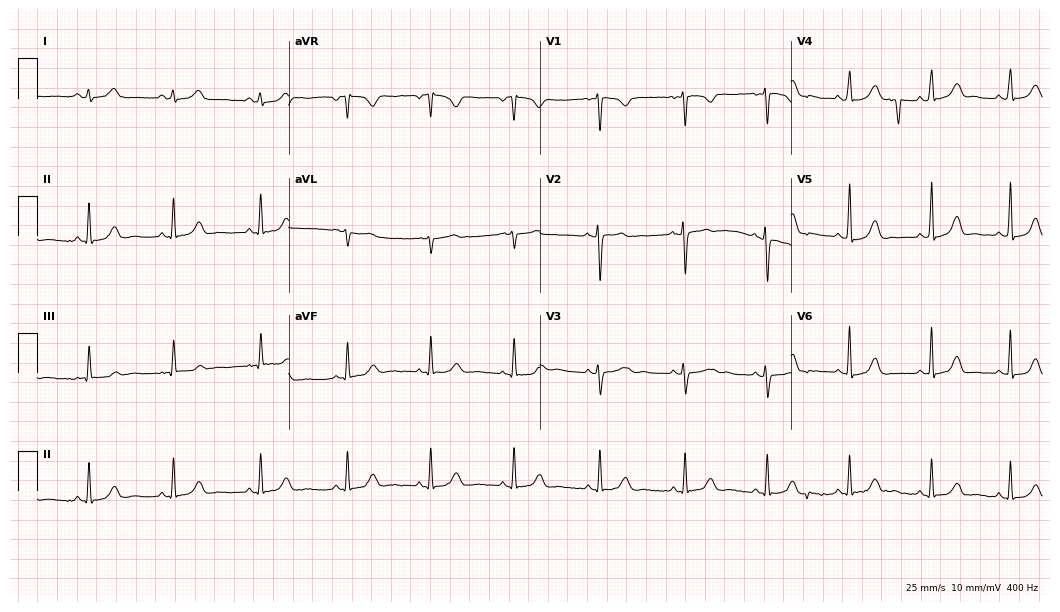
ECG — a woman, 33 years old. Labelled as a normal ECG.